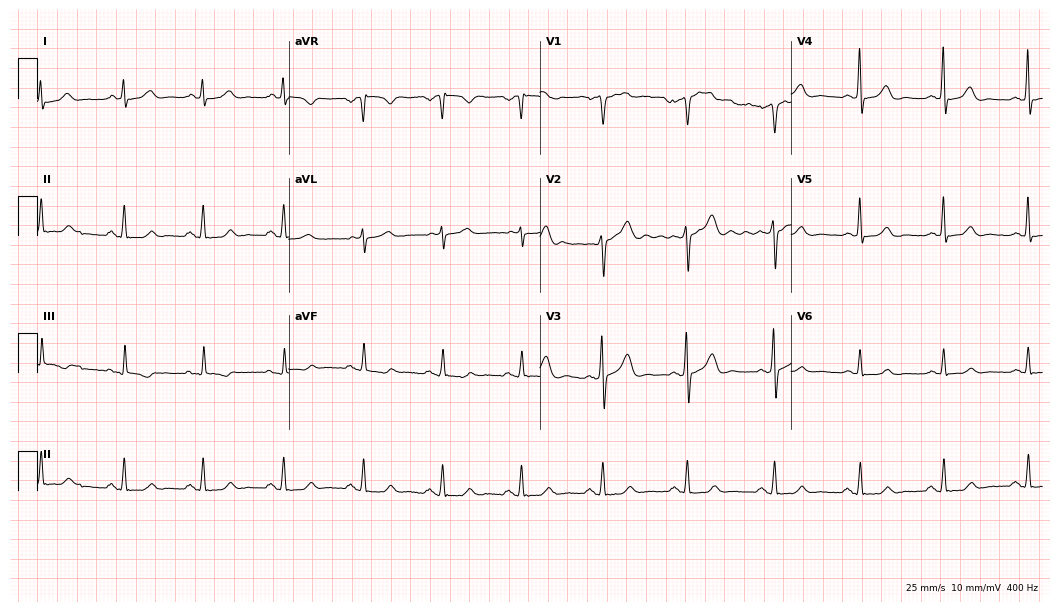
Electrocardiogram, a 45-year-old male. Overall reading on record: normal ECG.